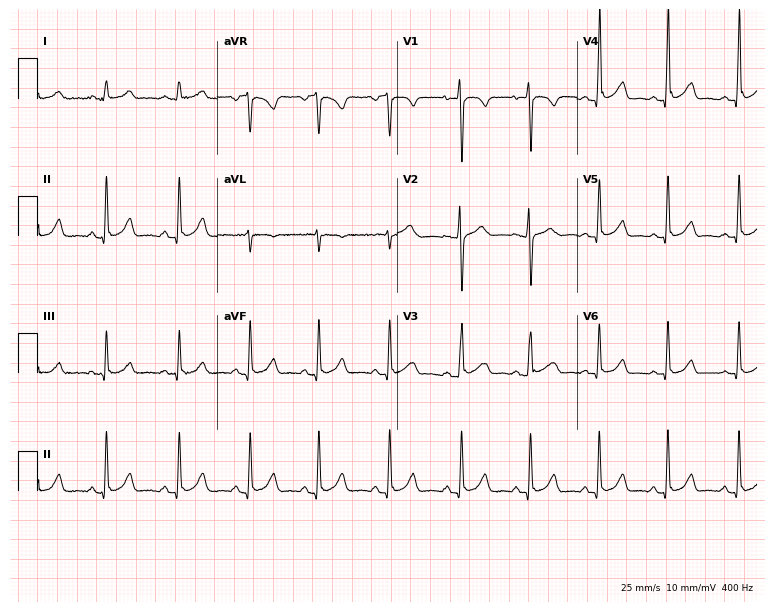
ECG (7.3-second recording at 400 Hz) — a female patient, 33 years old. Labelled as a normal ECG.